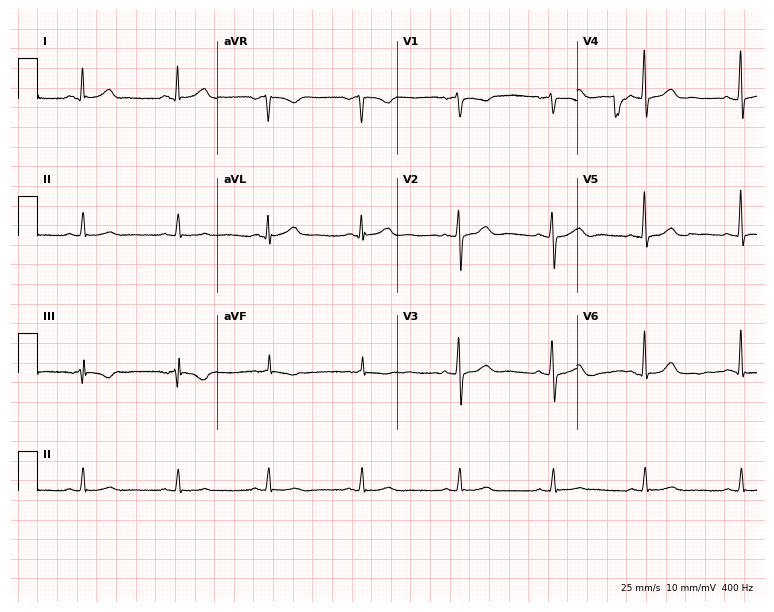
Standard 12-lead ECG recorded from a 50-year-old female patient (7.3-second recording at 400 Hz). None of these six findings is recorded: first-degree AV block, right bundle branch block, left bundle branch block, sinus bradycardia, atrial fibrillation, sinus tachycardia.